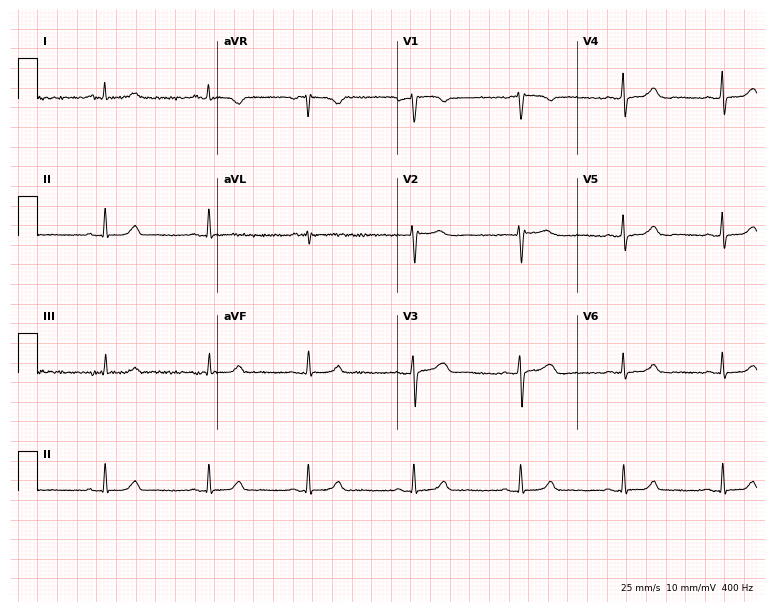
Standard 12-lead ECG recorded from a 53-year-old female. Read as a normal ECG.